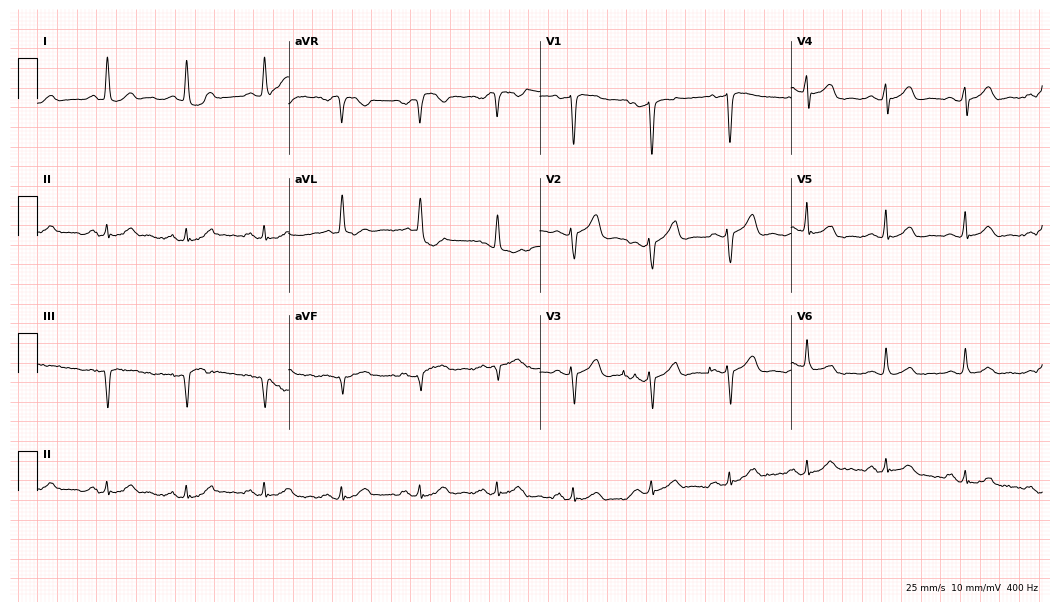
12-lead ECG from a male, 76 years old. No first-degree AV block, right bundle branch block (RBBB), left bundle branch block (LBBB), sinus bradycardia, atrial fibrillation (AF) or sinus tachycardia recorded for this tracing.